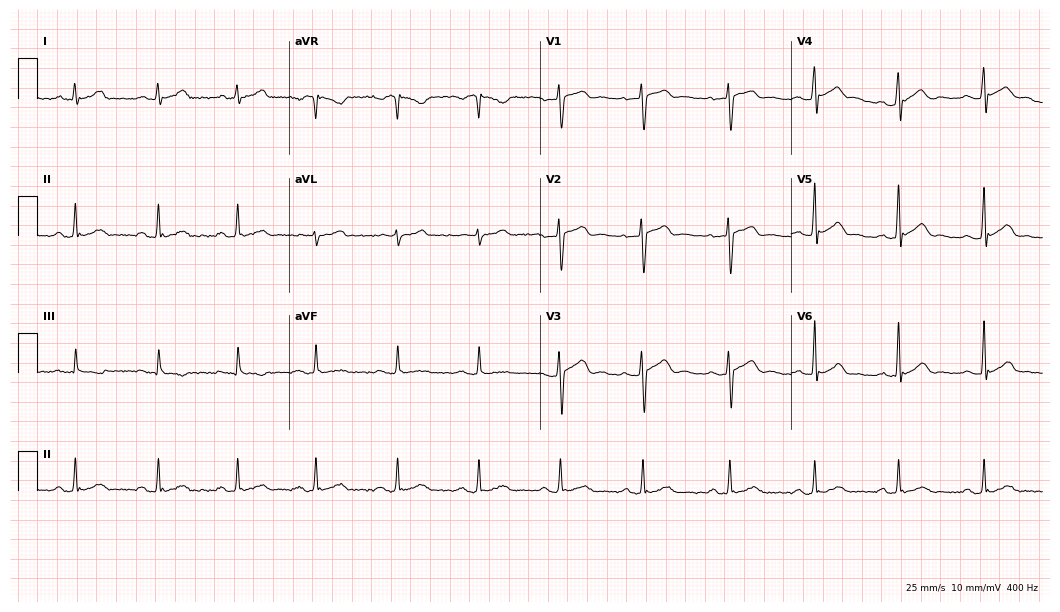
Standard 12-lead ECG recorded from a male, 38 years old. Read as a normal ECG.